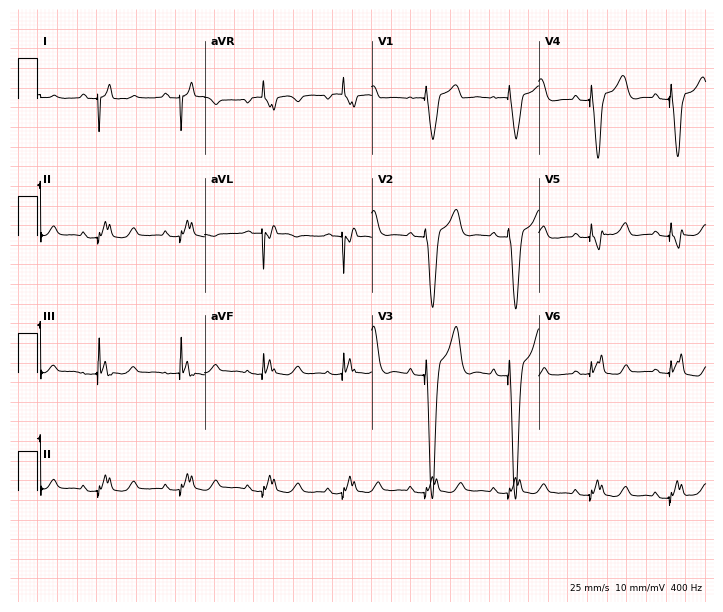
Standard 12-lead ECG recorded from a female patient, 52 years old (6.8-second recording at 400 Hz). None of these six findings is recorded: first-degree AV block, right bundle branch block, left bundle branch block, sinus bradycardia, atrial fibrillation, sinus tachycardia.